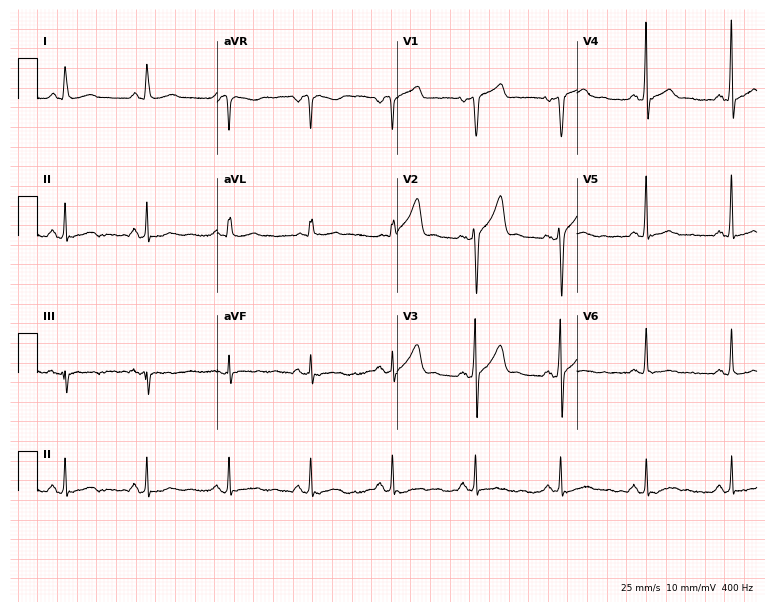
12-lead ECG from a male patient, 54 years old. Labelled as a normal ECG.